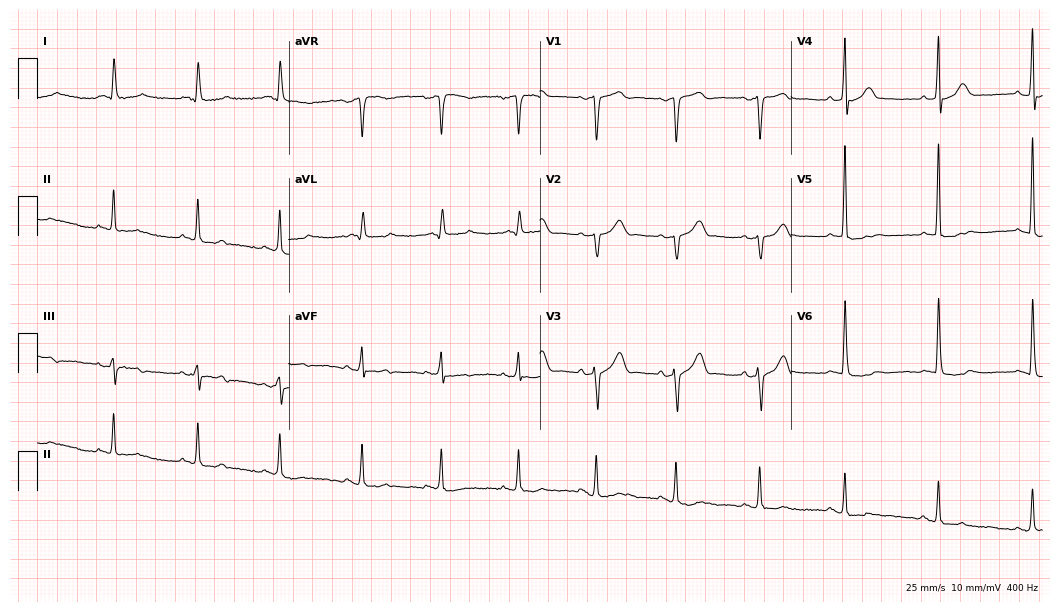
ECG (10.2-second recording at 400 Hz) — a woman, 78 years old. Screened for six findings — first-degree AV block, right bundle branch block (RBBB), left bundle branch block (LBBB), sinus bradycardia, atrial fibrillation (AF), sinus tachycardia — none is recorded. Only these six findings were labelled.